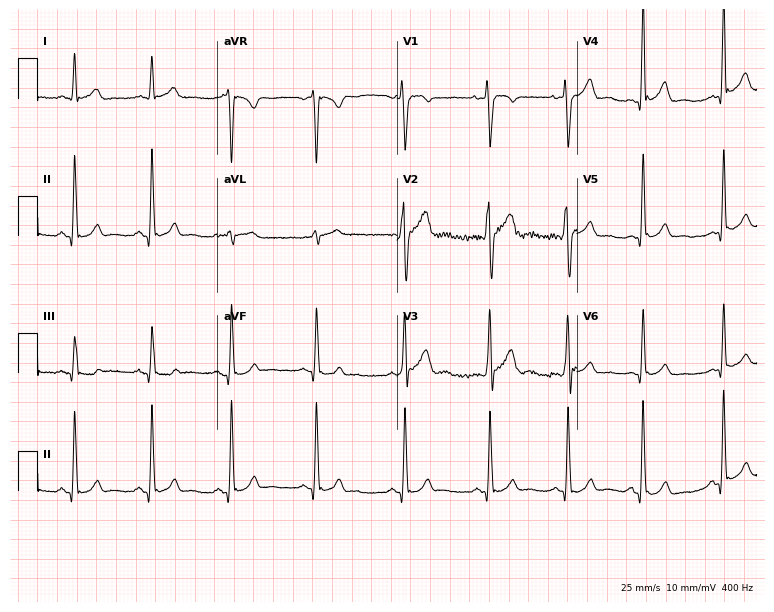
ECG — a man, 24 years old. Labelled as a normal ECG.